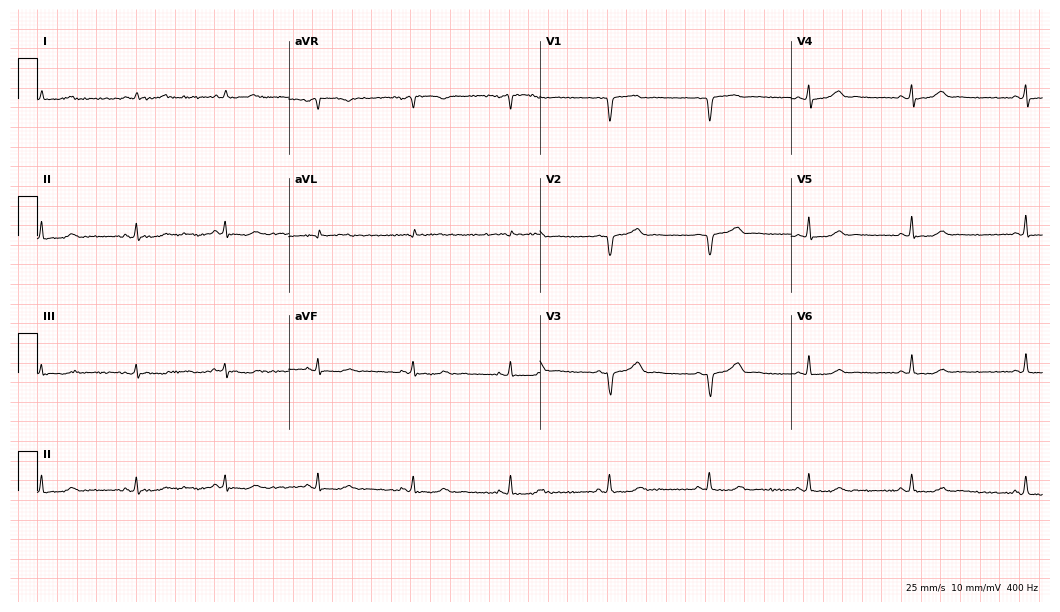
ECG — a female patient, 45 years old. Screened for six findings — first-degree AV block, right bundle branch block (RBBB), left bundle branch block (LBBB), sinus bradycardia, atrial fibrillation (AF), sinus tachycardia — none is recorded.